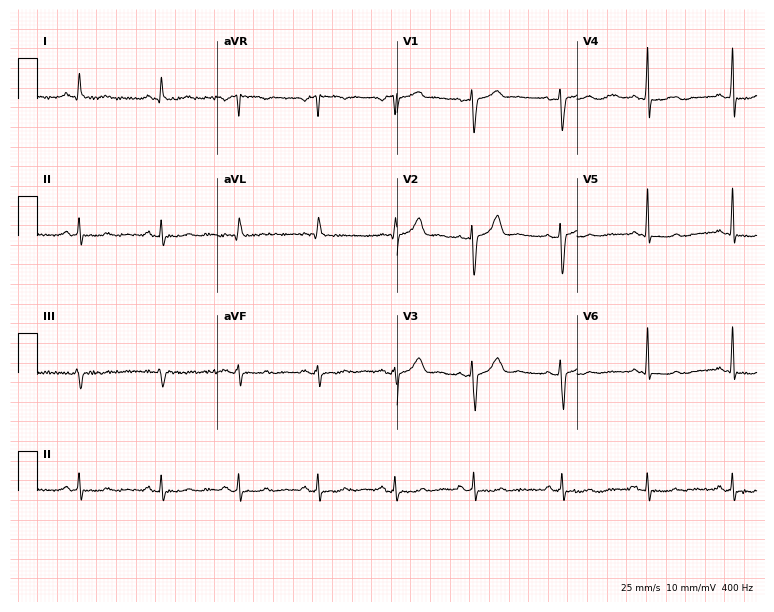
12-lead ECG (7.3-second recording at 400 Hz) from a 32-year-old female patient. Labelled as a normal ECG.